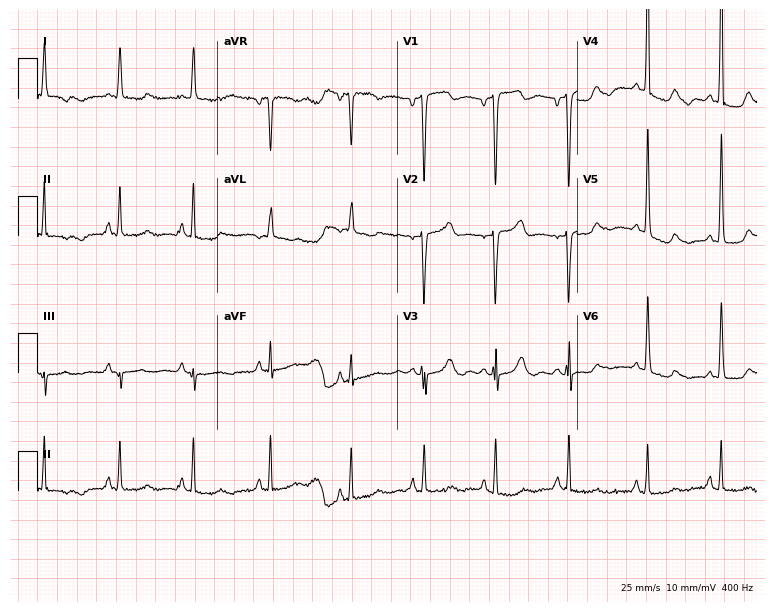
Resting 12-lead electrocardiogram. Patient: a woman, 78 years old. None of these six findings is recorded: first-degree AV block, right bundle branch block, left bundle branch block, sinus bradycardia, atrial fibrillation, sinus tachycardia. Other findings, if any, are not listed.